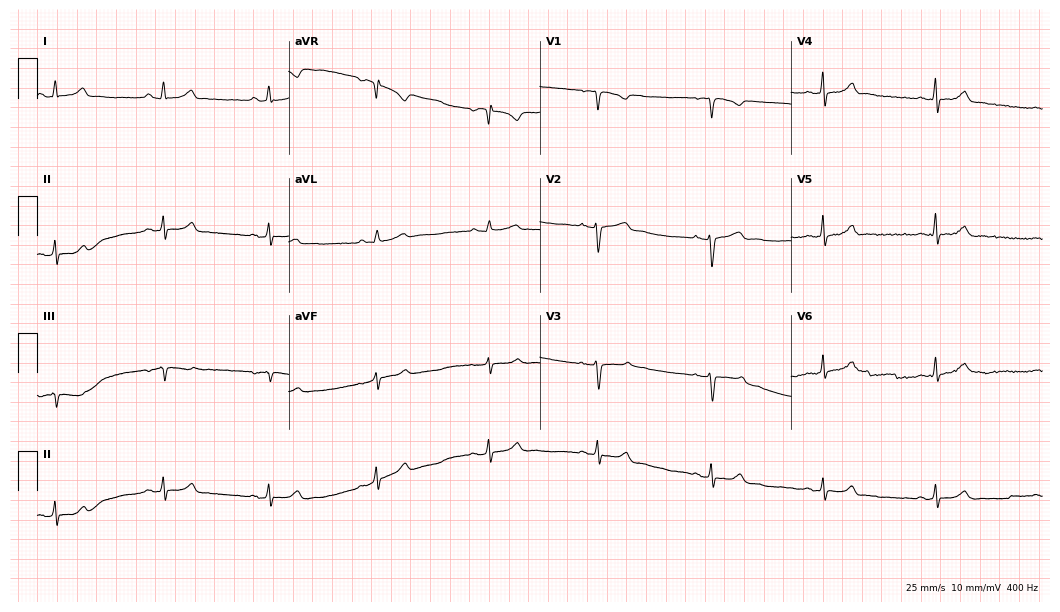
Standard 12-lead ECG recorded from a 22-year-old female (10.2-second recording at 400 Hz). Read as a normal ECG.